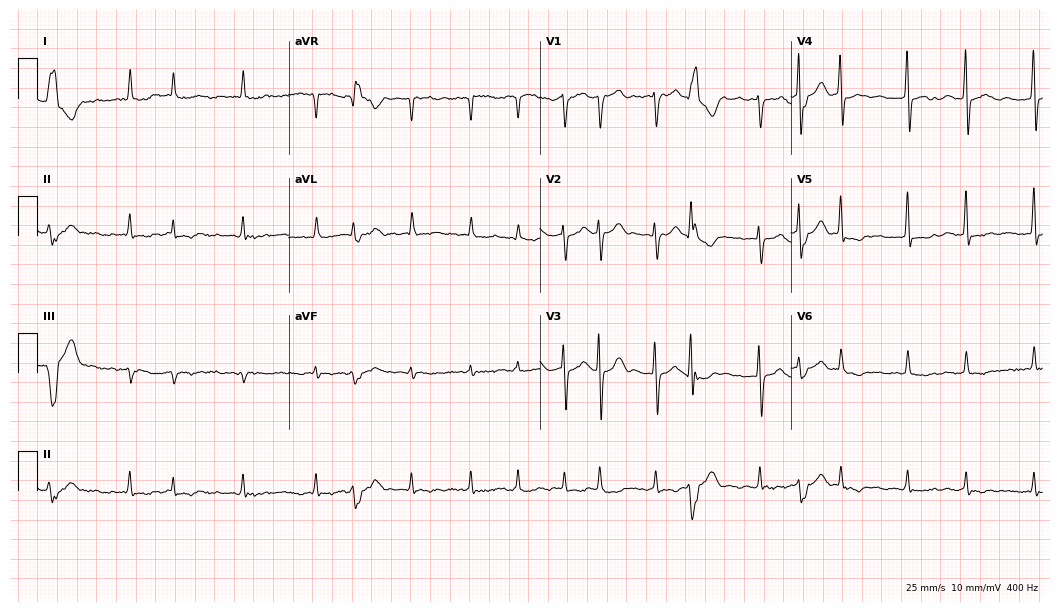
Standard 12-lead ECG recorded from a female, 83 years old (10.2-second recording at 400 Hz). The tracing shows atrial fibrillation.